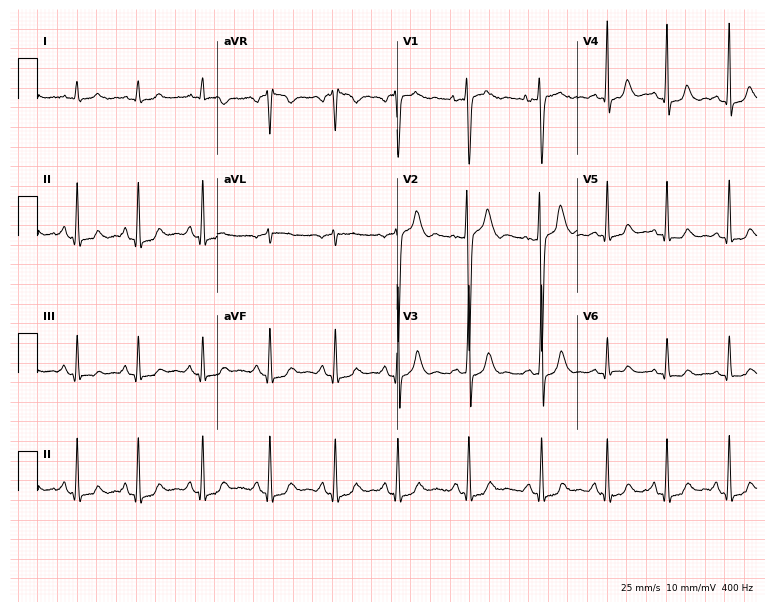
12-lead ECG (7.3-second recording at 400 Hz) from a female, 26 years old. Screened for six findings — first-degree AV block, right bundle branch block, left bundle branch block, sinus bradycardia, atrial fibrillation, sinus tachycardia — none is recorded. Other findings, if any, are not listed.